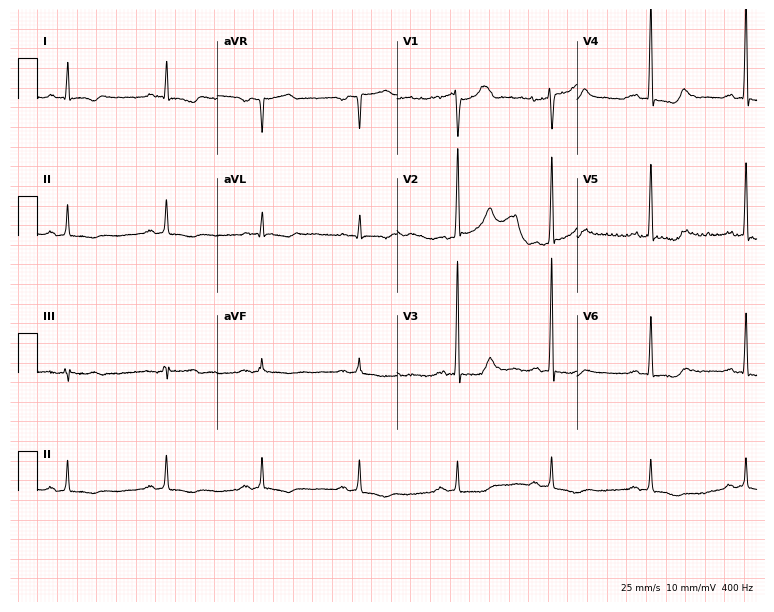
ECG (7.3-second recording at 400 Hz) — a male, 65 years old. Screened for six findings — first-degree AV block, right bundle branch block (RBBB), left bundle branch block (LBBB), sinus bradycardia, atrial fibrillation (AF), sinus tachycardia — none is recorded.